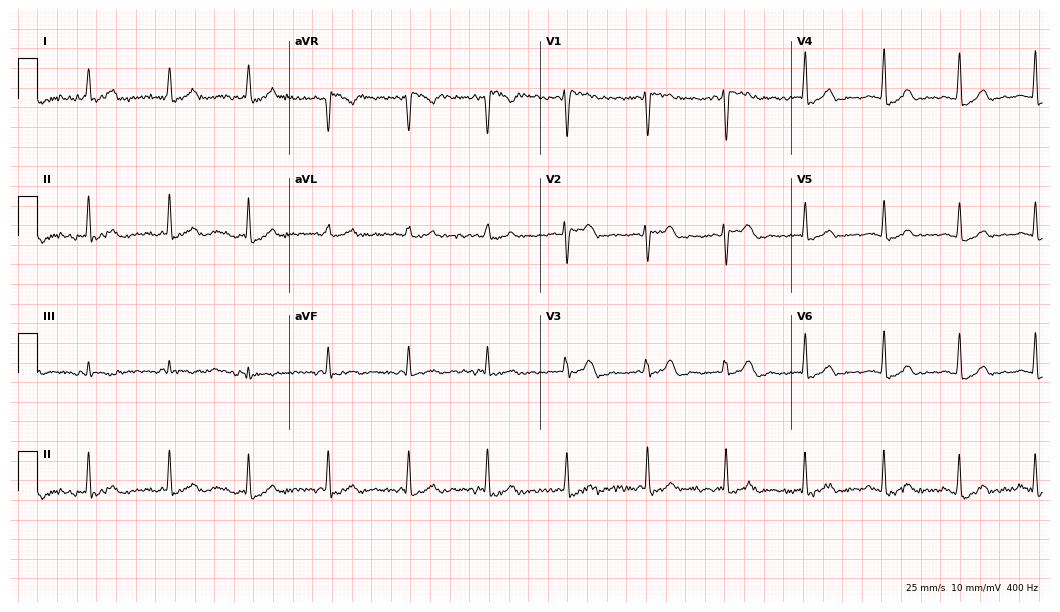
Standard 12-lead ECG recorded from a woman, 36 years old (10.2-second recording at 400 Hz). None of these six findings is recorded: first-degree AV block, right bundle branch block (RBBB), left bundle branch block (LBBB), sinus bradycardia, atrial fibrillation (AF), sinus tachycardia.